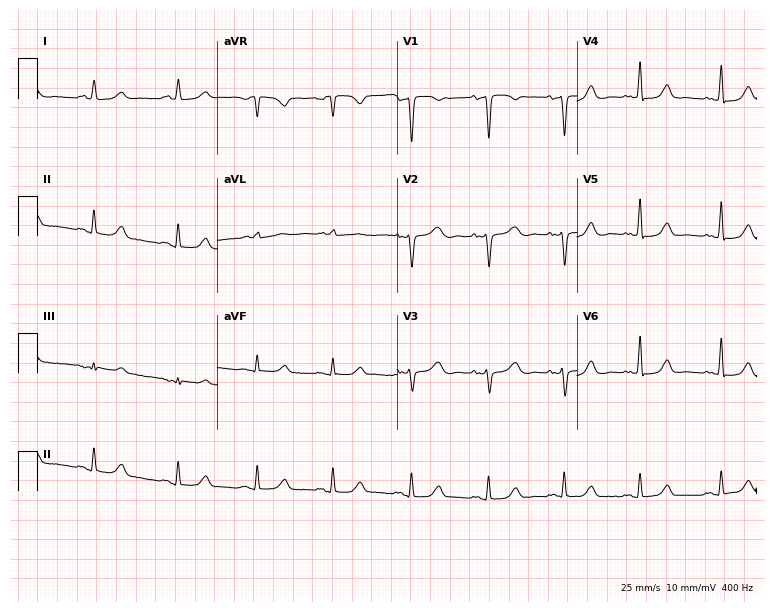
12-lead ECG from a 47-year-old woman (7.3-second recording at 400 Hz). No first-degree AV block, right bundle branch block (RBBB), left bundle branch block (LBBB), sinus bradycardia, atrial fibrillation (AF) or sinus tachycardia recorded for this tracing.